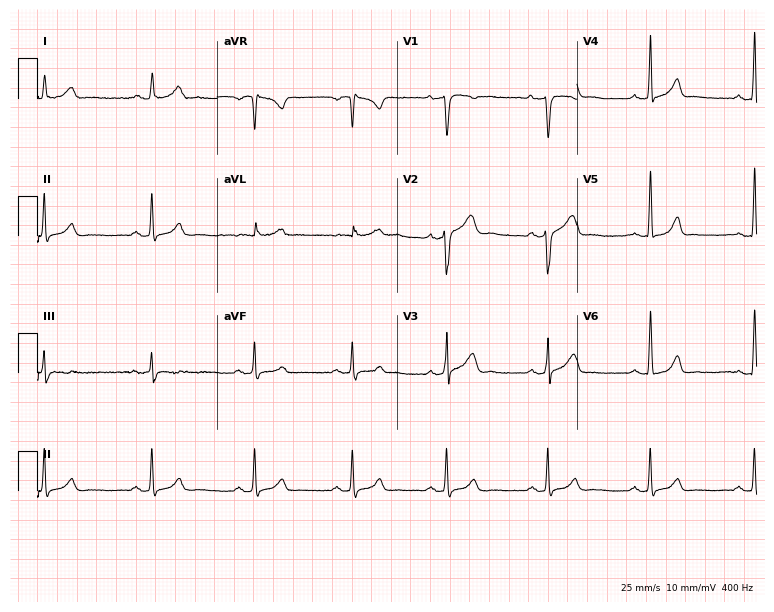
12-lead ECG (7.3-second recording at 400 Hz) from a 23-year-old male patient. Screened for six findings — first-degree AV block, right bundle branch block, left bundle branch block, sinus bradycardia, atrial fibrillation, sinus tachycardia — none is recorded. Findings outside these six are not listed.